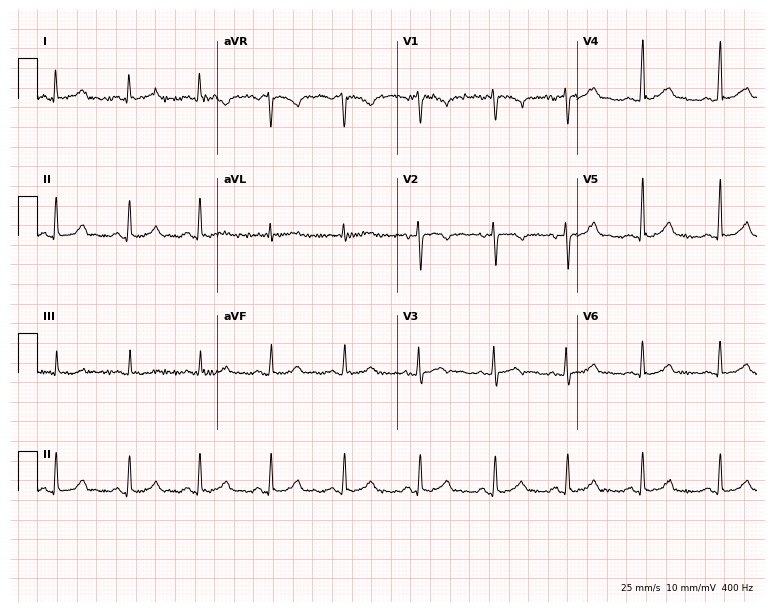
Electrocardiogram (7.3-second recording at 400 Hz), a woman, 38 years old. Overall reading on record: normal ECG.